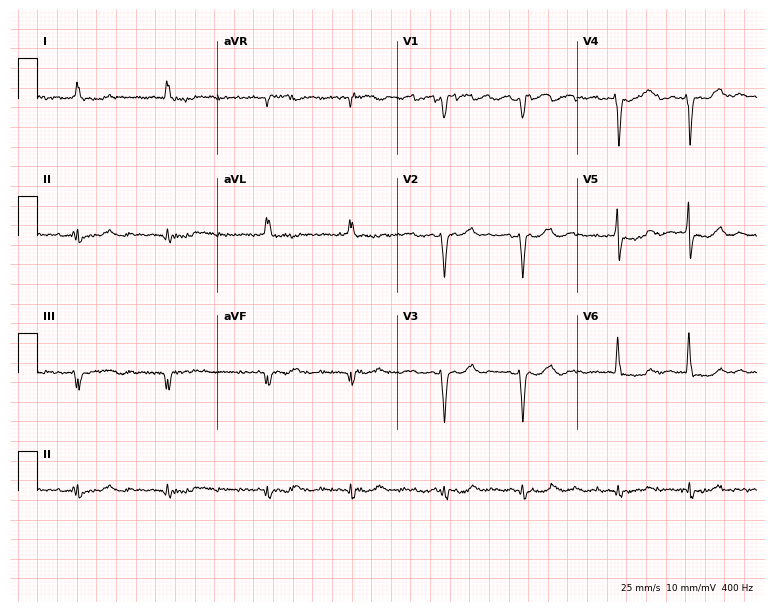
Resting 12-lead electrocardiogram. Patient: a 76-year-old woman. The tracing shows atrial fibrillation.